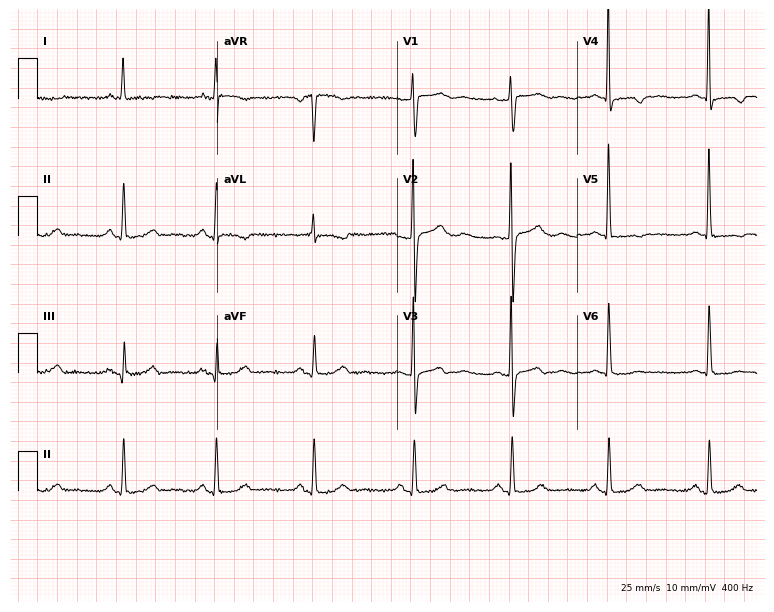
Electrocardiogram (7.3-second recording at 400 Hz), a 64-year-old female patient. Of the six screened findings (first-degree AV block, right bundle branch block, left bundle branch block, sinus bradycardia, atrial fibrillation, sinus tachycardia), none is recorded.